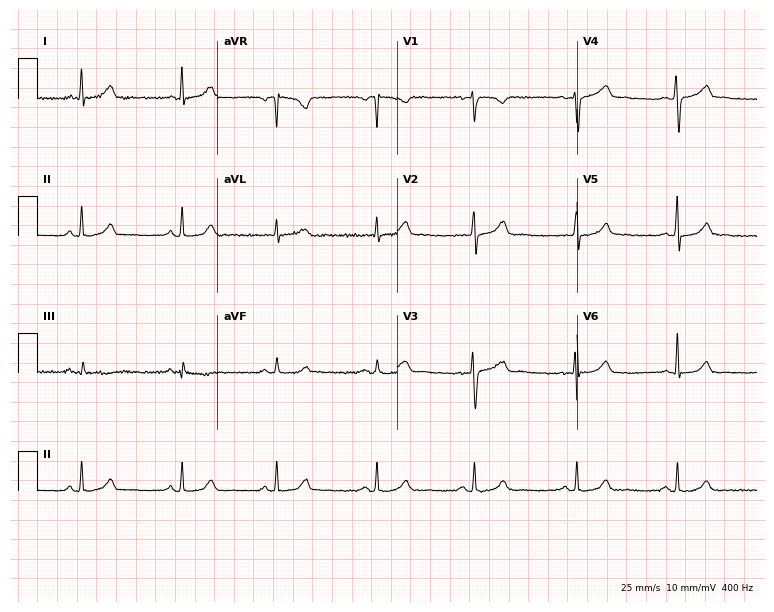
Resting 12-lead electrocardiogram. Patient: a 39-year-old female. Read as a normal ECG.